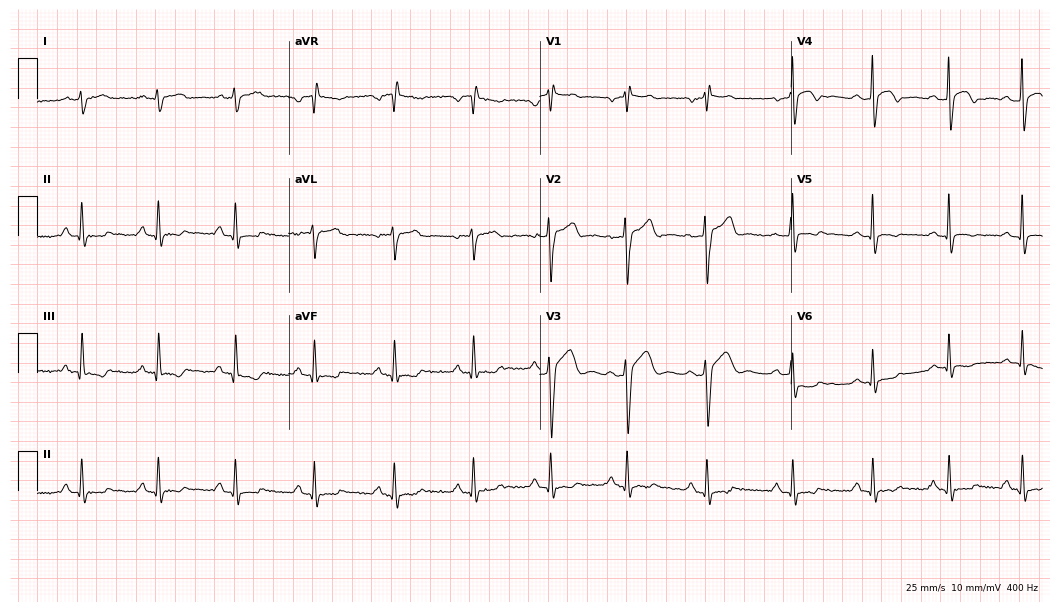
12-lead ECG from a man, 27 years old. Screened for six findings — first-degree AV block, right bundle branch block, left bundle branch block, sinus bradycardia, atrial fibrillation, sinus tachycardia — none is recorded. Only these six findings were labelled.